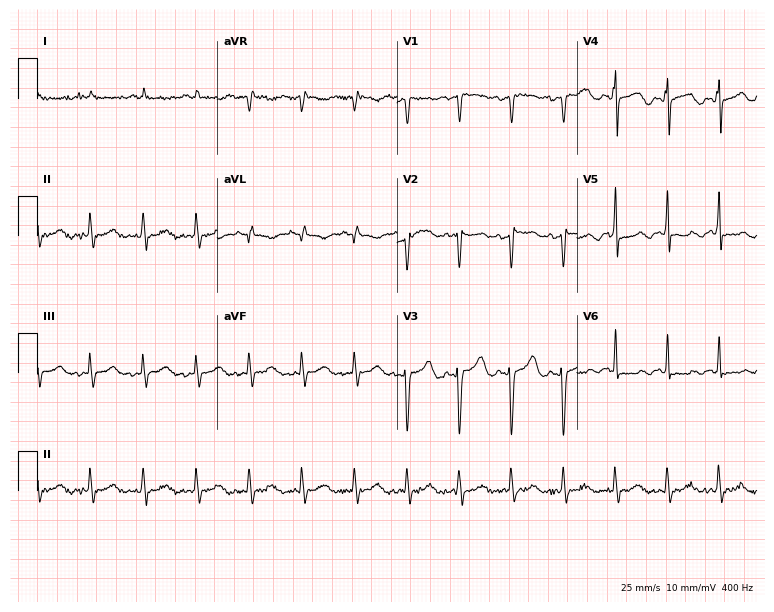
12-lead ECG (7.3-second recording at 400 Hz) from an 83-year-old man. Findings include sinus tachycardia (a sinus rate of 100 beats per minute or more).